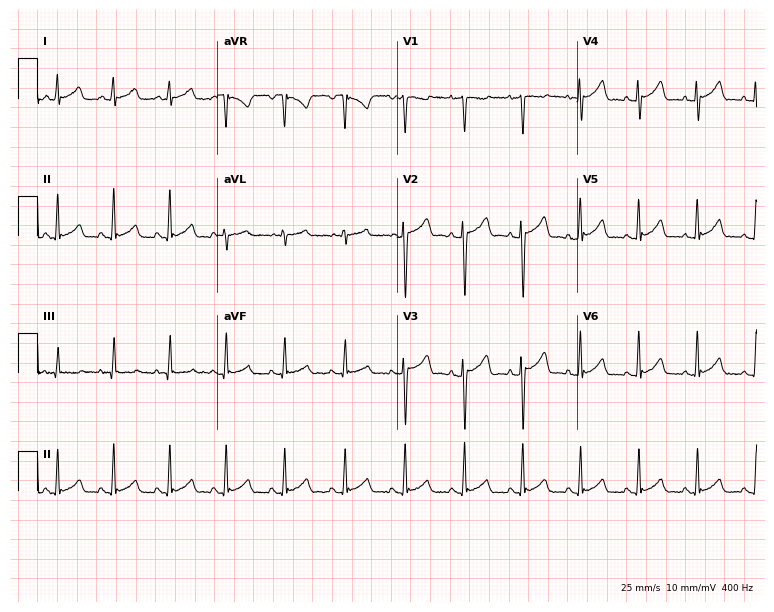
12-lead ECG (7.3-second recording at 400 Hz) from a 19-year-old female. Labelled as a normal ECG.